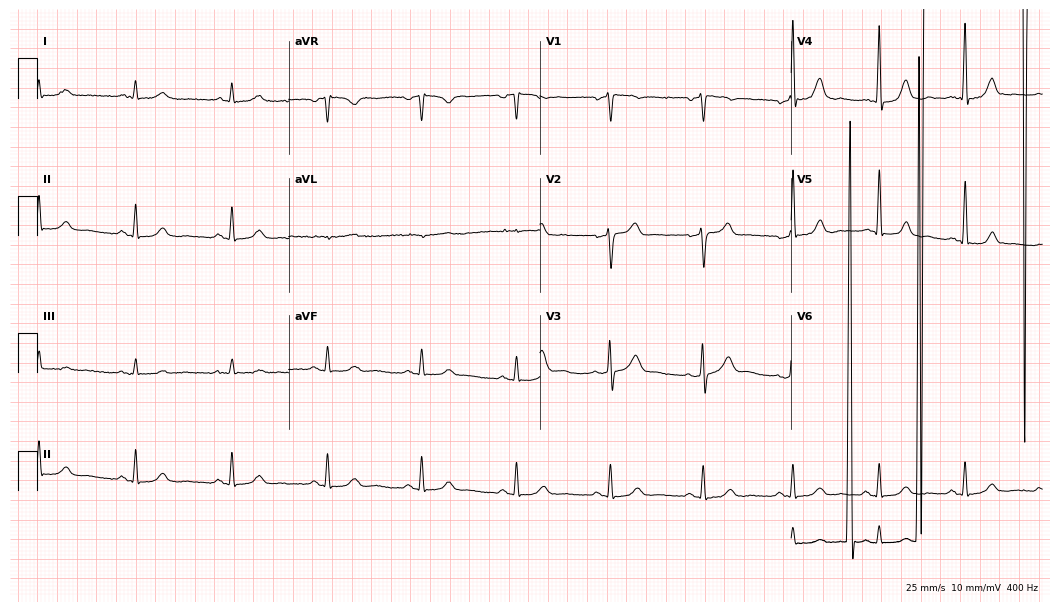
12-lead ECG from a man, 64 years old (10.2-second recording at 400 Hz). No first-degree AV block, right bundle branch block, left bundle branch block, sinus bradycardia, atrial fibrillation or sinus tachycardia recorded for this tracing.